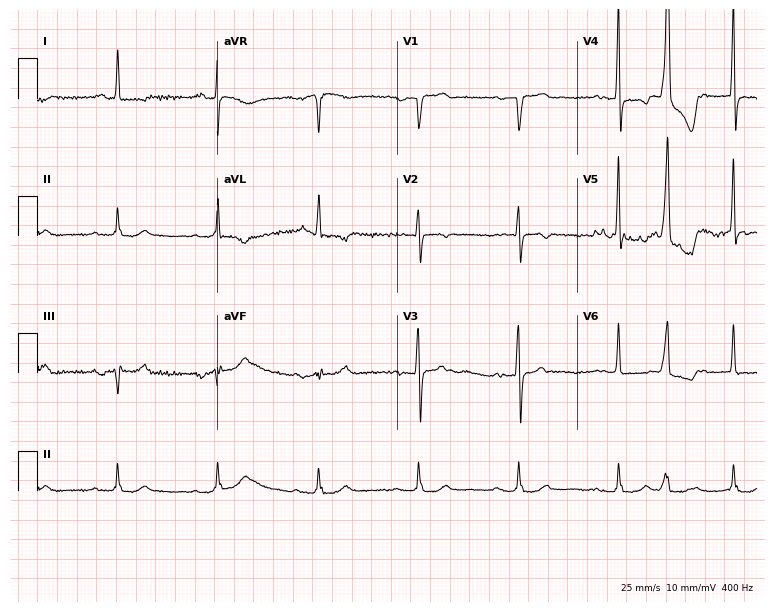
ECG — a male, 82 years old. Findings include first-degree AV block.